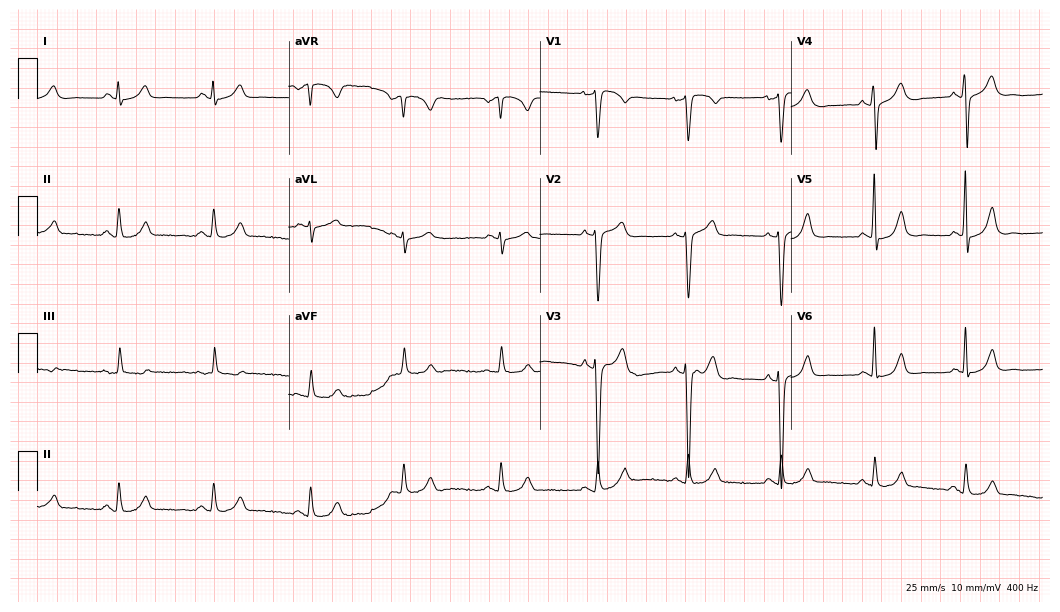
12-lead ECG from a 36-year-old man. Labelled as a normal ECG.